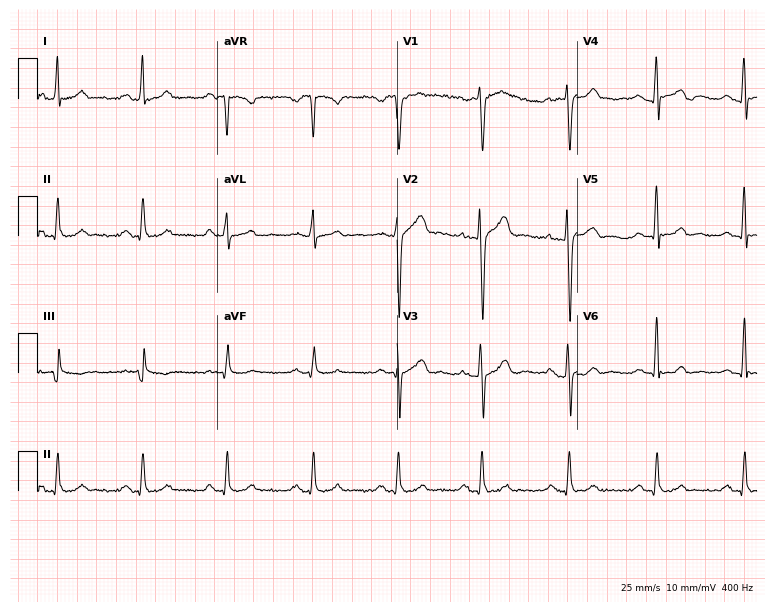
Resting 12-lead electrocardiogram (7.3-second recording at 400 Hz). Patient: a male, 25 years old. Read as a normal ECG.